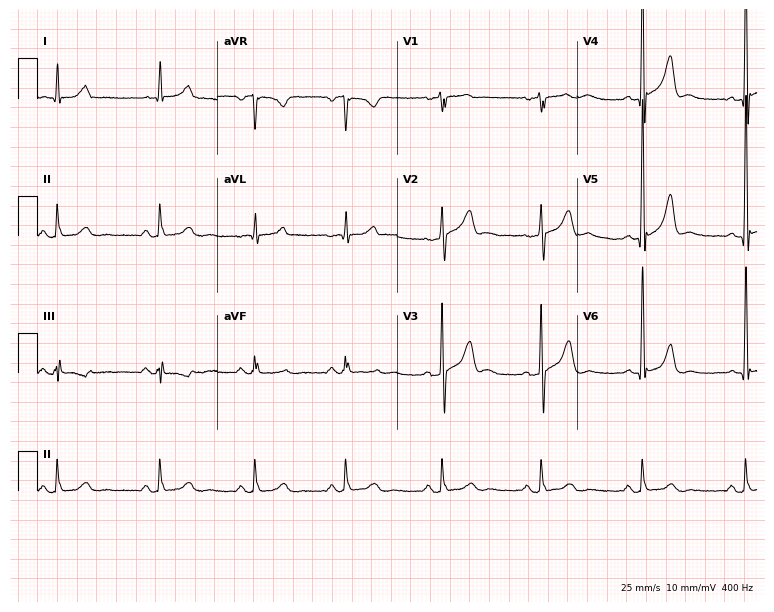
Standard 12-lead ECG recorded from a 78-year-old man. Read as a normal ECG.